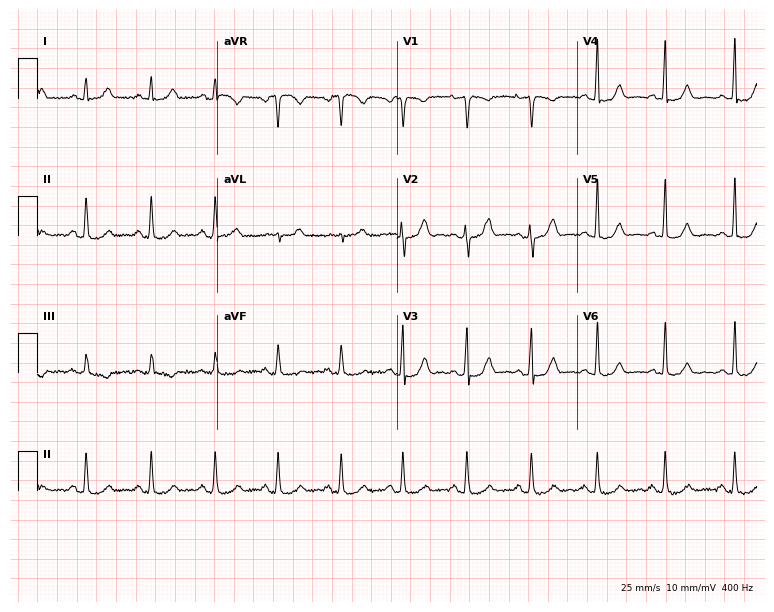
Electrocardiogram (7.3-second recording at 400 Hz), a female patient, 33 years old. Overall reading on record: normal ECG.